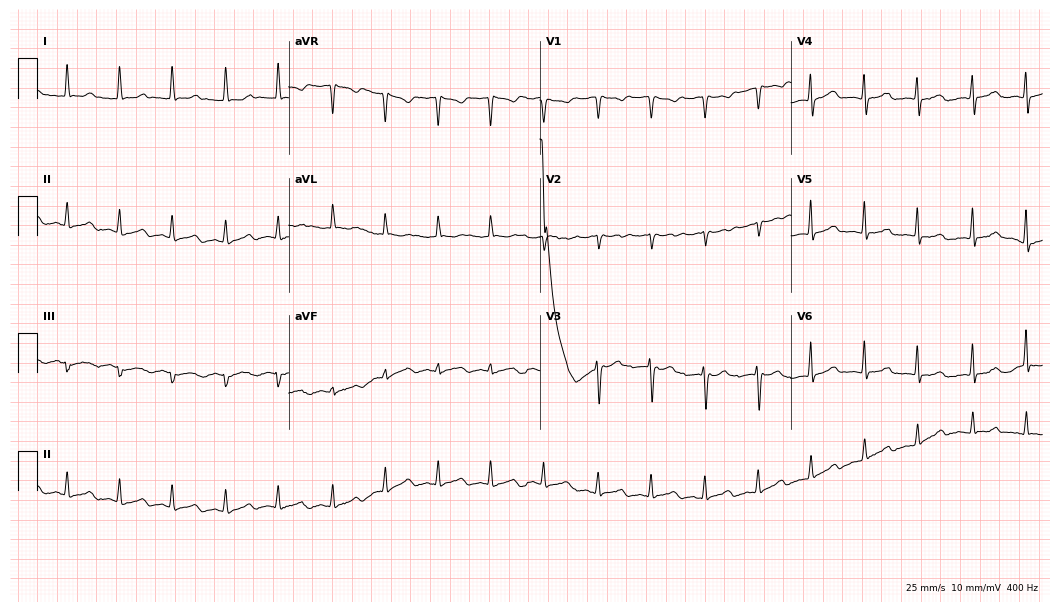
ECG — a 75-year-old woman. Screened for six findings — first-degree AV block, right bundle branch block (RBBB), left bundle branch block (LBBB), sinus bradycardia, atrial fibrillation (AF), sinus tachycardia — none is recorded. Only these six findings were labelled.